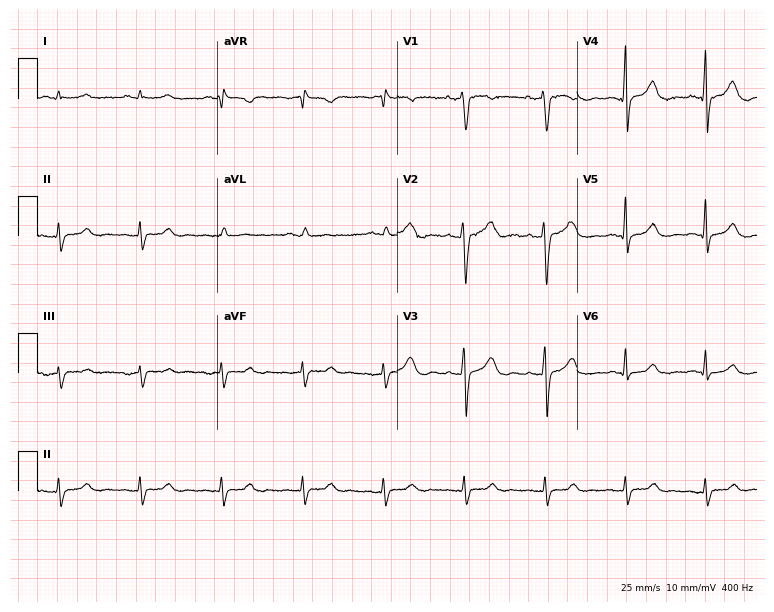
12-lead ECG from a man, 41 years old (7.3-second recording at 400 Hz). Recorded interpretation: within normal limits.